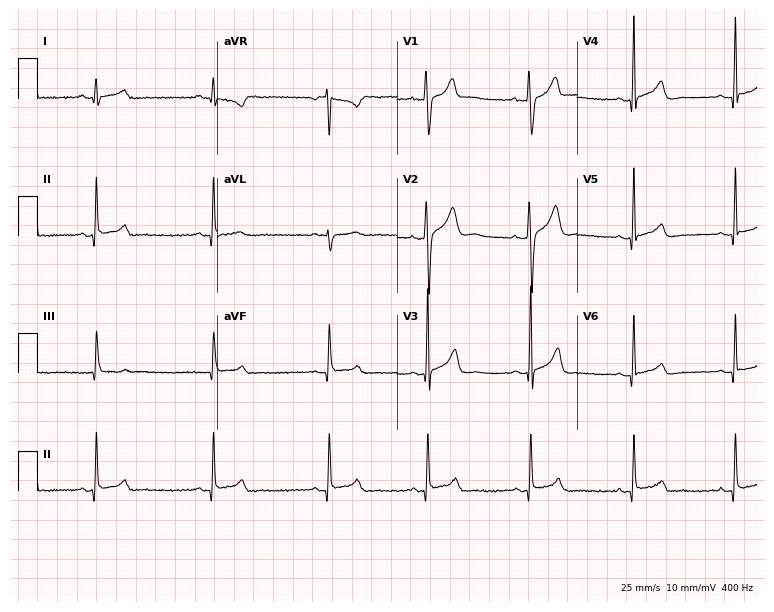
ECG (7.3-second recording at 400 Hz) — a male patient, 32 years old. Labelled as a normal ECG.